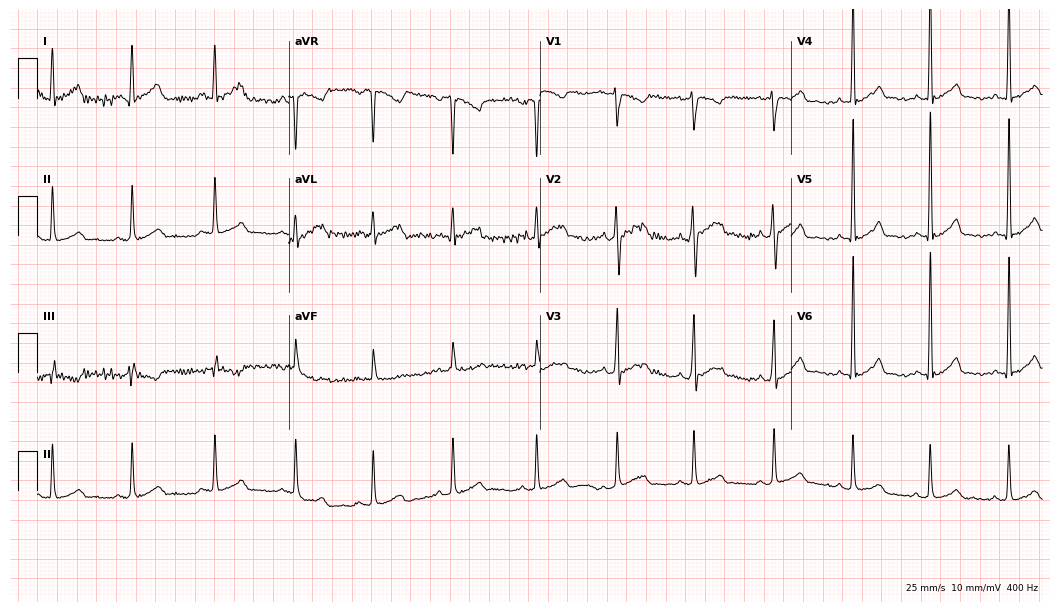
Resting 12-lead electrocardiogram. Patient: a man, 18 years old. None of these six findings is recorded: first-degree AV block, right bundle branch block, left bundle branch block, sinus bradycardia, atrial fibrillation, sinus tachycardia. Only these six findings were labelled.